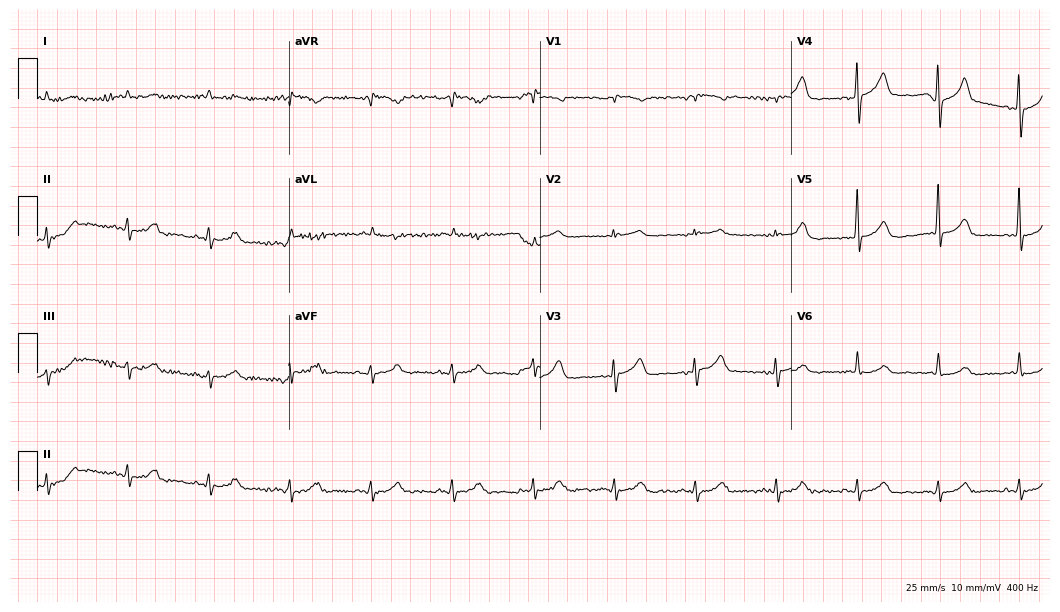
Electrocardiogram, a man, 58 years old. Overall reading on record: normal ECG.